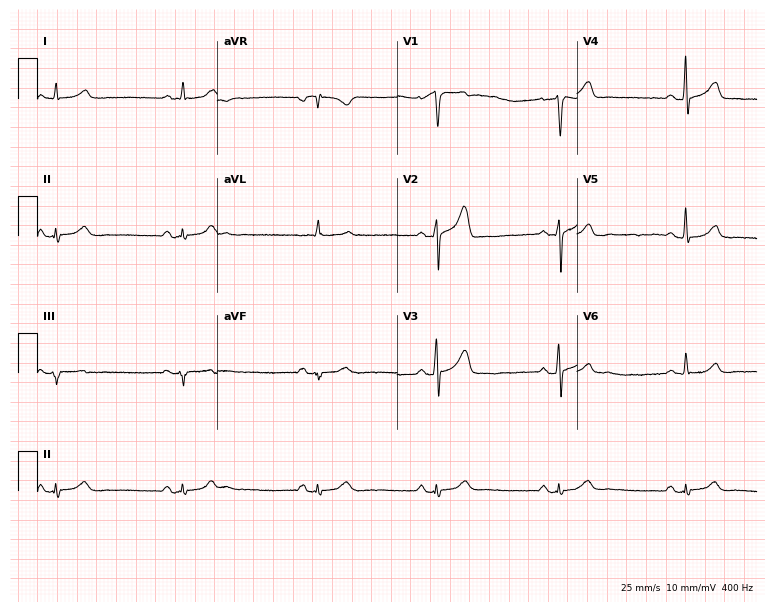
ECG (7.3-second recording at 400 Hz) — a male patient, 59 years old. Findings include sinus bradycardia (a sinus rate of 50 beats per minute or less).